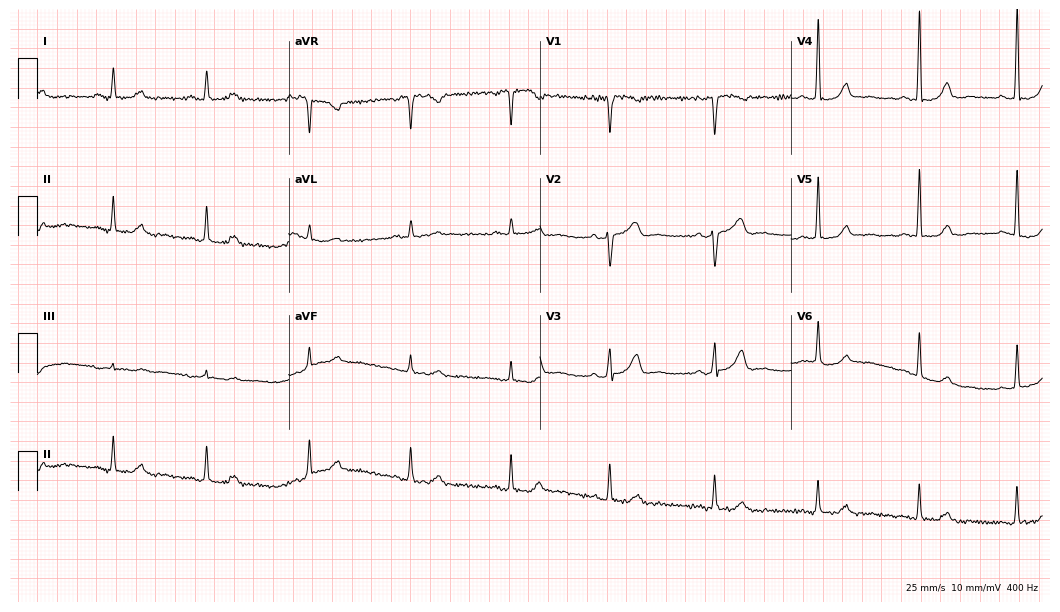
Standard 12-lead ECG recorded from a 63-year-old male patient. None of these six findings is recorded: first-degree AV block, right bundle branch block (RBBB), left bundle branch block (LBBB), sinus bradycardia, atrial fibrillation (AF), sinus tachycardia. Findings outside these six are not listed.